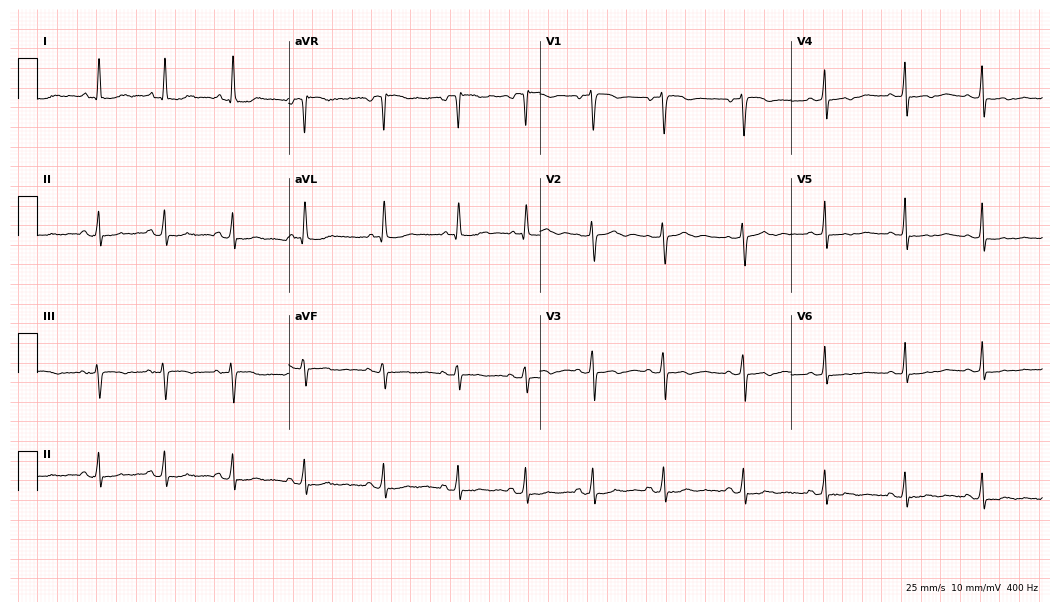
Electrocardiogram (10.2-second recording at 400 Hz), a female, 40 years old. Of the six screened findings (first-degree AV block, right bundle branch block, left bundle branch block, sinus bradycardia, atrial fibrillation, sinus tachycardia), none is recorded.